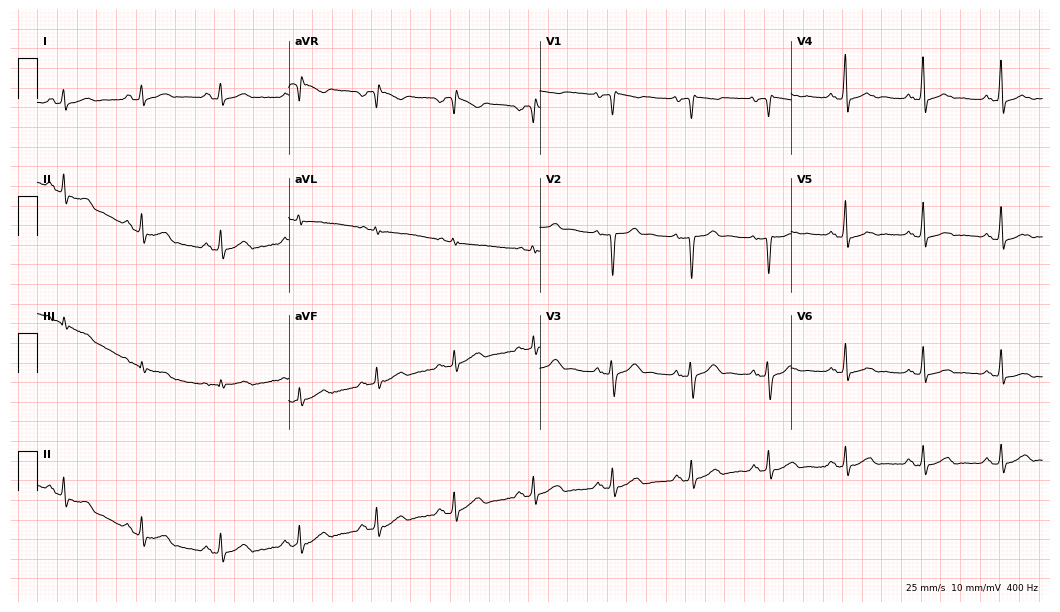
12-lead ECG from a 40-year-old man. Labelled as a normal ECG.